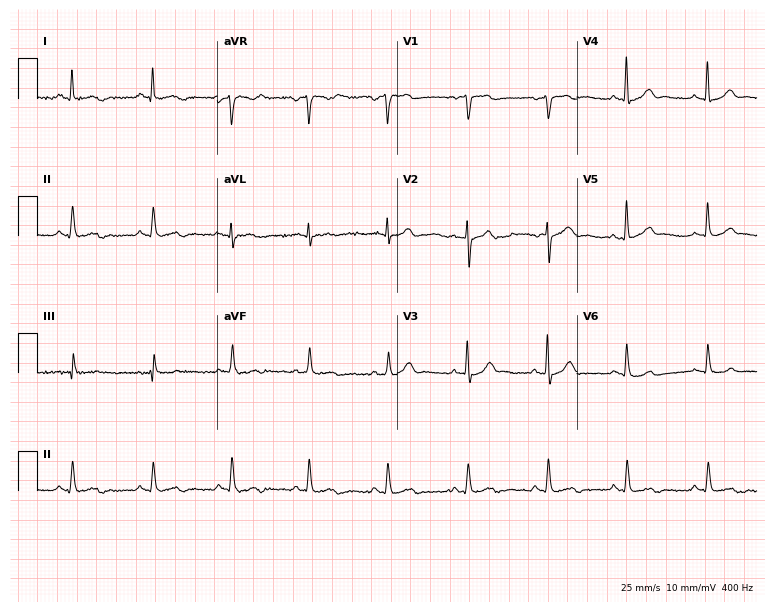
Electrocardiogram (7.3-second recording at 400 Hz), a 47-year-old male patient. Overall reading on record: normal ECG.